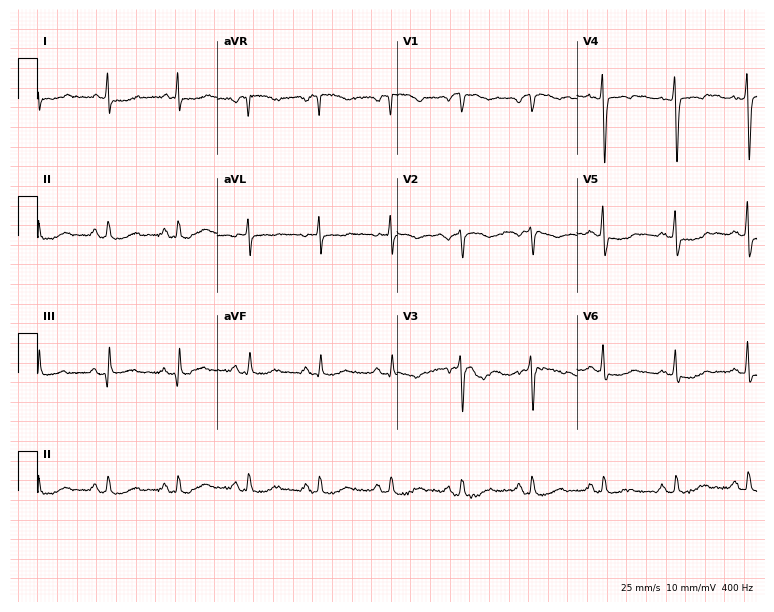
12-lead ECG from a male patient, 63 years old (7.3-second recording at 400 Hz). No first-degree AV block, right bundle branch block (RBBB), left bundle branch block (LBBB), sinus bradycardia, atrial fibrillation (AF) or sinus tachycardia recorded for this tracing.